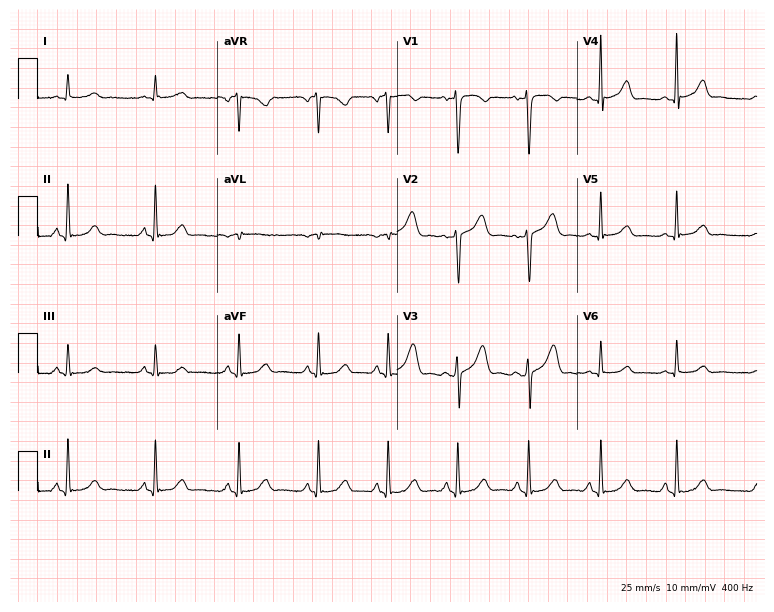
Resting 12-lead electrocardiogram. Patient: a male, 49 years old. Read as a normal ECG.